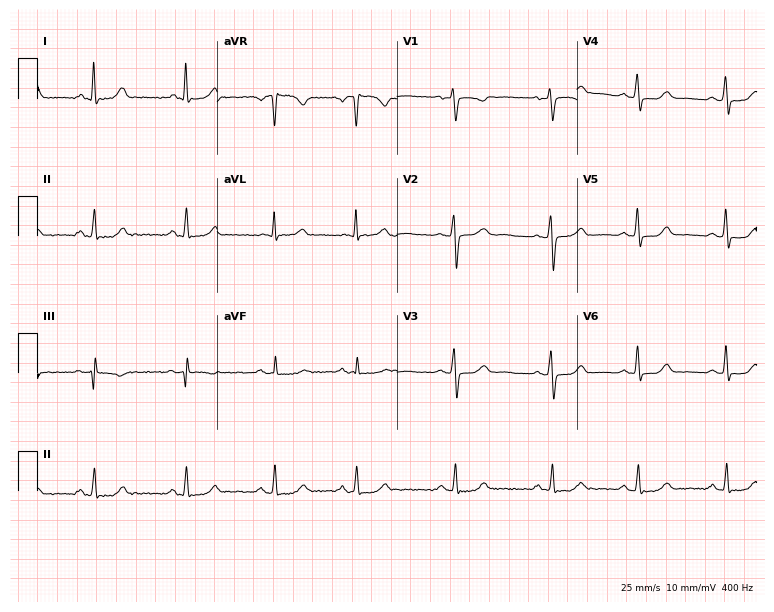
Resting 12-lead electrocardiogram. Patient: a 49-year-old female. None of these six findings is recorded: first-degree AV block, right bundle branch block, left bundle branch block, sinus bradycardia, atrial fibrillation, sinus tachycardia.